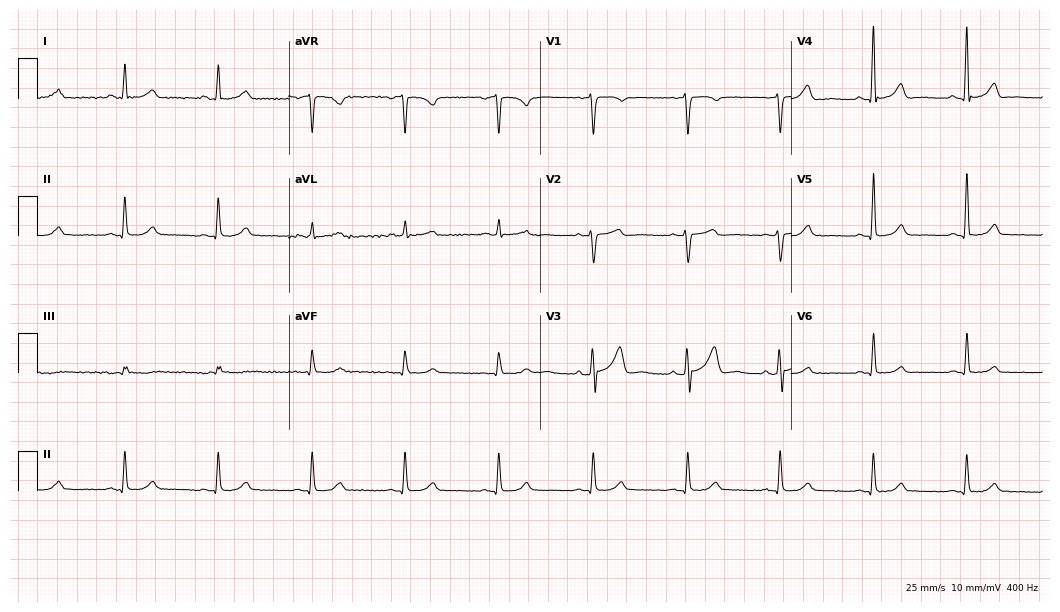
12-lead ECG (10.2-second recording at 400 Hz) from a male patient, 60 years old. Labelled as a normal ECG.